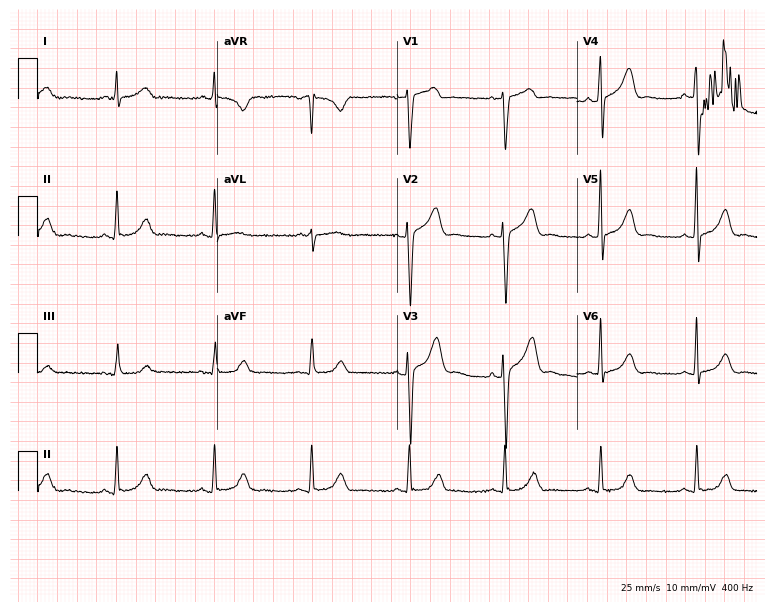
Electrocardiogram, a male, 67 years old. Of the six screened findings (first-degree AV block, right bundle branch block, left bundle branch block, sinus bradycardia, atrial fibrillation, sinus tachycardia), none is recorded. Only these six findings were labelled.